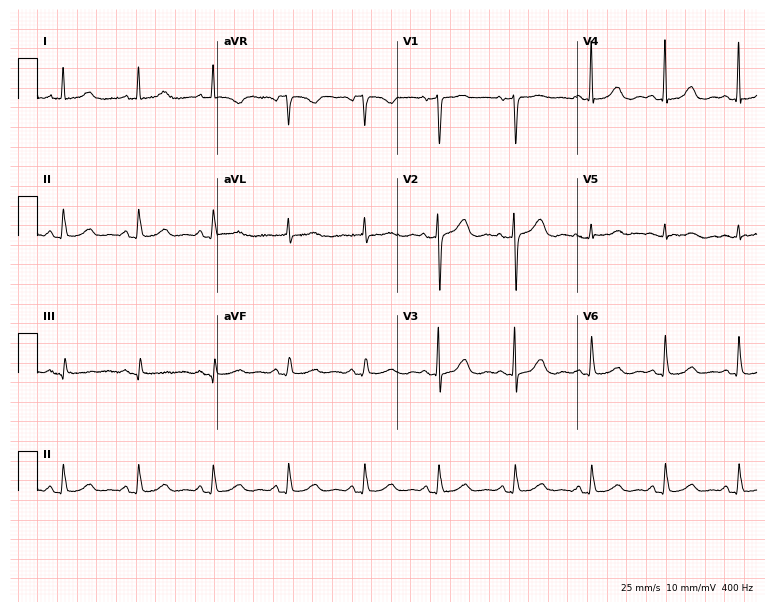
Standard 12-lead ECG recorded from a 76-year-old woman. Read as a normal ECG.